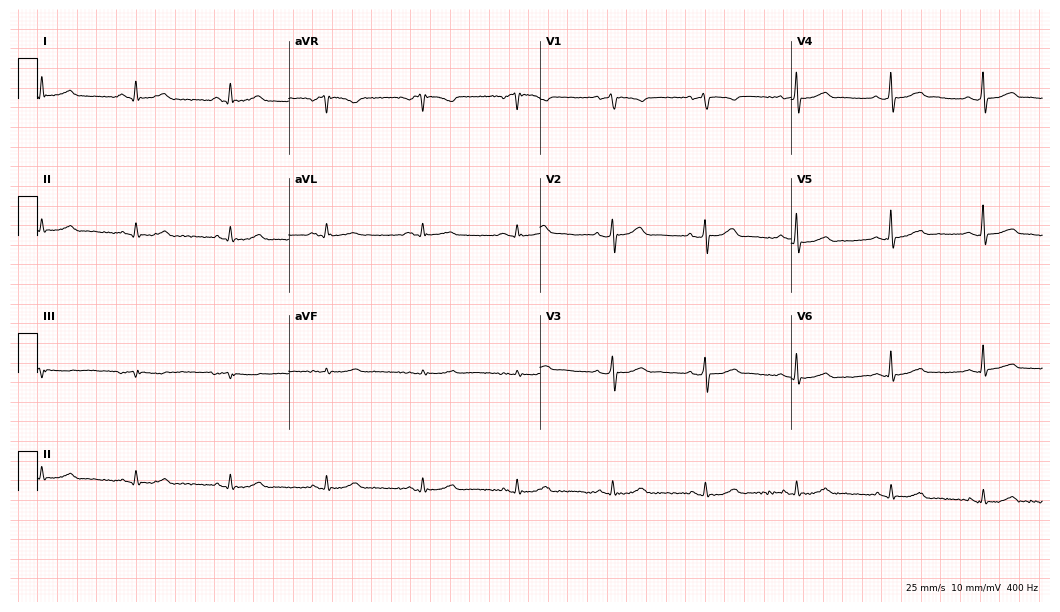
Standard 12-lead ECG recorded from a 71-year-old man. Read as a normal ECG.